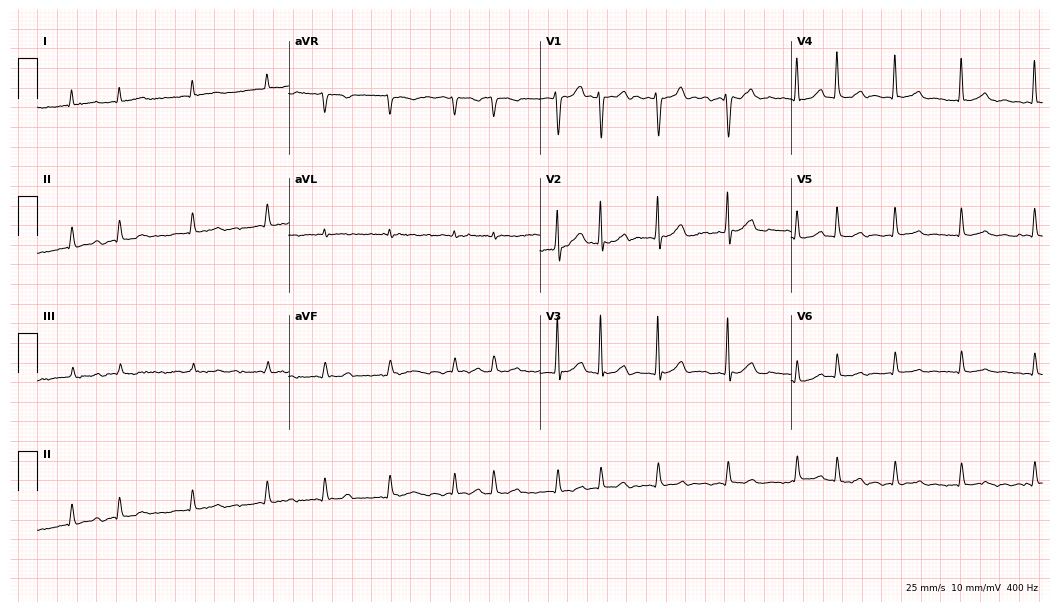
12-lead ECG from a 70-year-old male patient (10.2-second recording at 400 Hz). Shows atrial fibrillation.